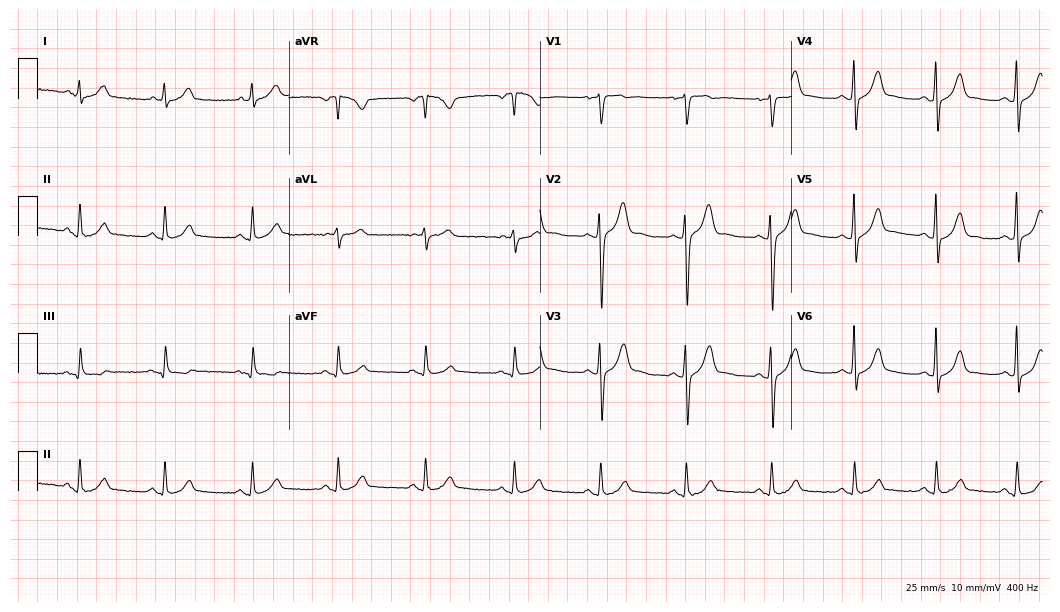
12-lead ECG (10.2-second recording at 400 Hz) from a 52-year-old male. Labelled as a normal ECG.